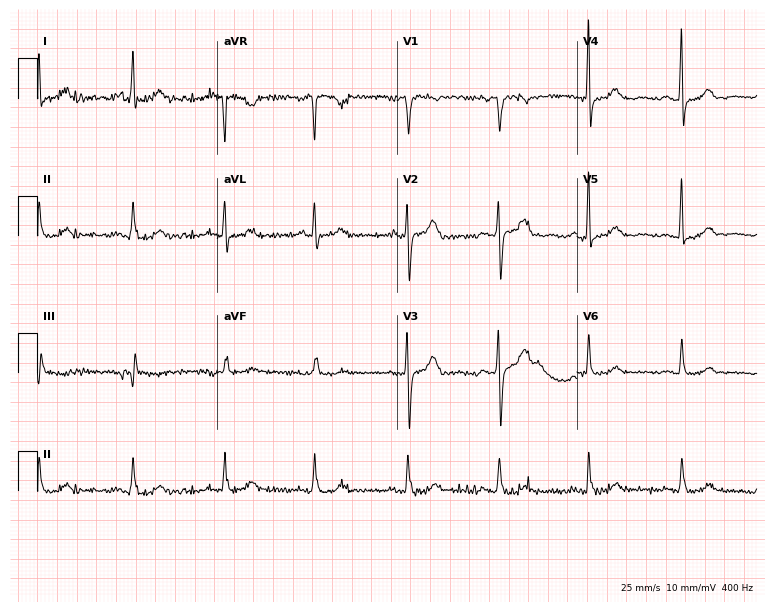
Resting 12-lead electrocardiogram. Patient: a 66-year-old female. Read as a normal ECG.